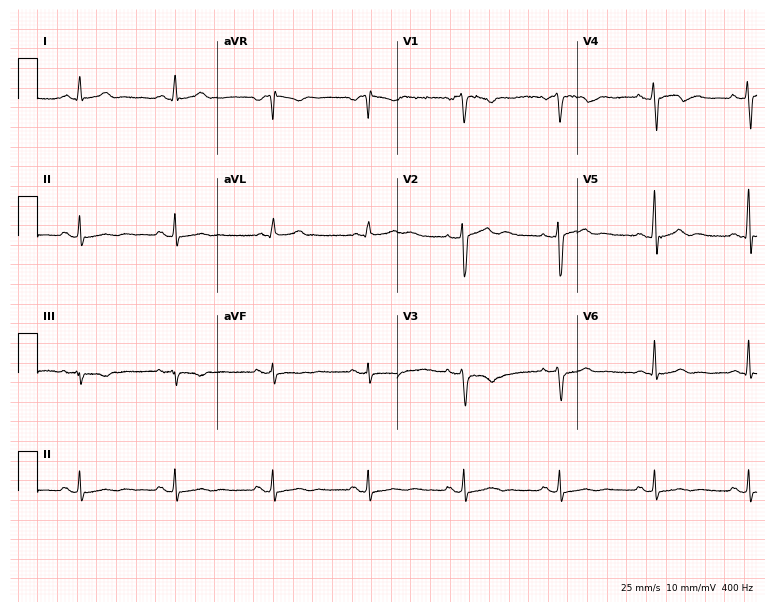
Standard 12-lead ECG recorded from a 53-year-old male (7.3-second recording at 400 Hz). Read as a normal ECG.